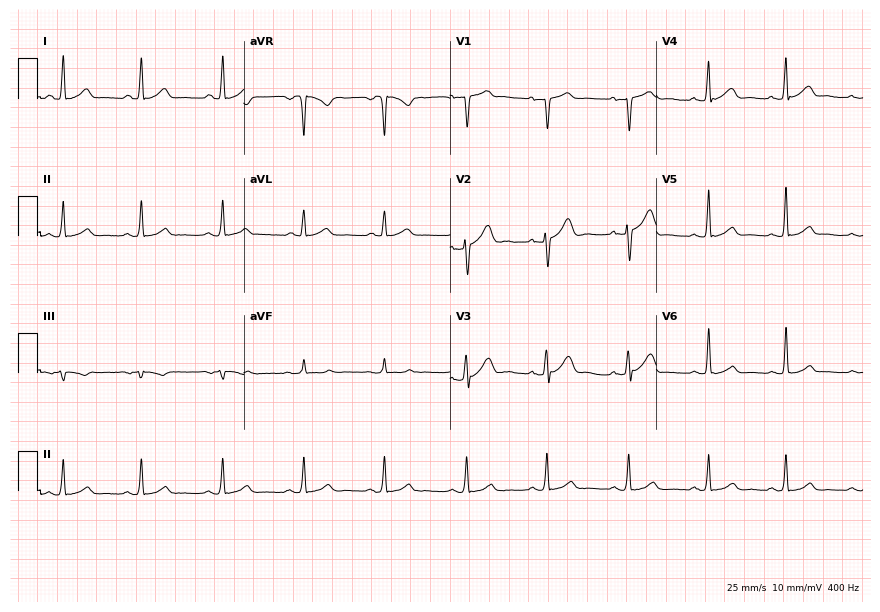
Resting 12-lead electrocardiogram. Patient: a 34-year-old male. None of these six findings is recorded: first-degree AV block, right bundle branch block (RBBB), left bundle branch block (LBBB), sinus bradycardia, atrial fibrillation (AF), sinus tachycardia.